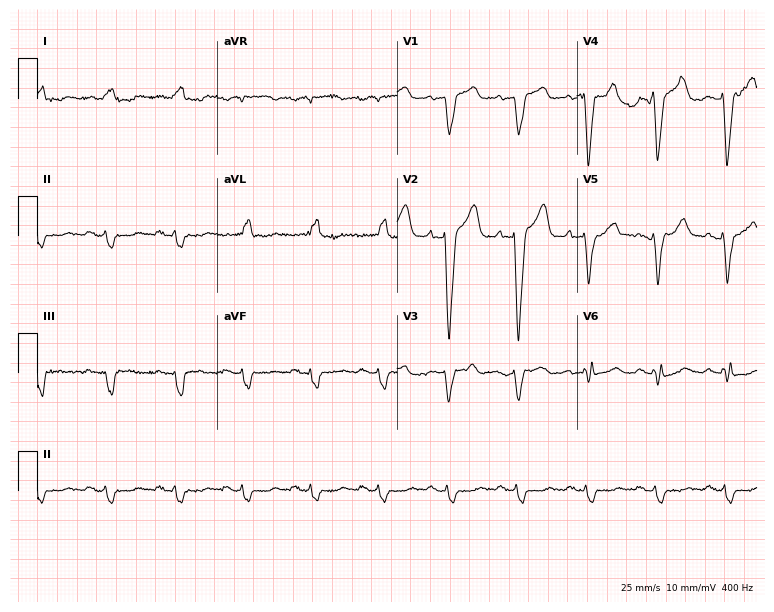
Resting 12-lead electrocardiogram (7.3-second recording at 400 Hz). Patient: a female, 81 years old. The tracing shows left bundle branch block.